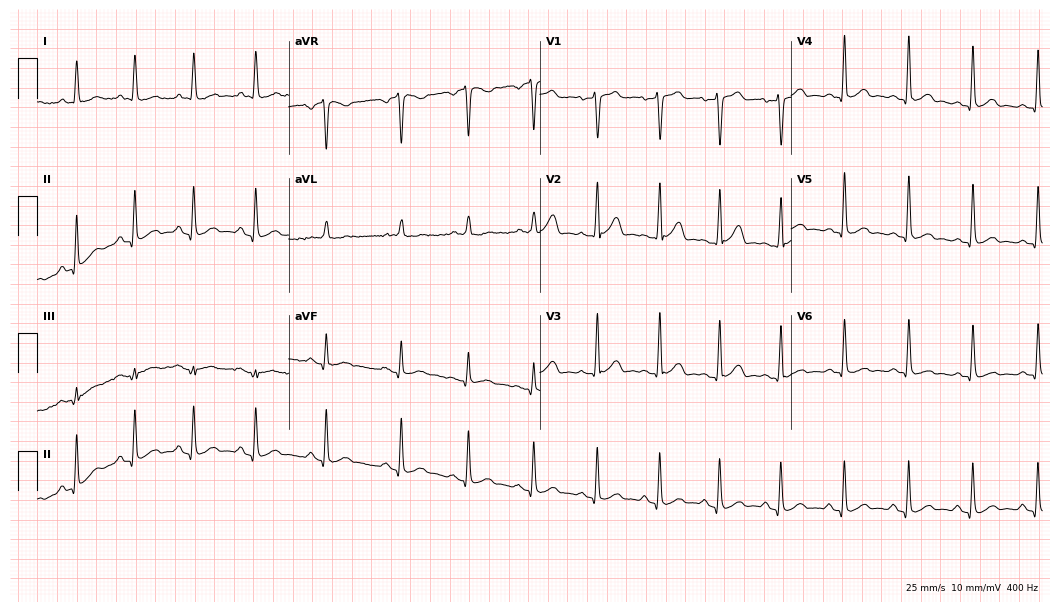
Resting 12-lead electrocardiogram. Patient: a man, 26 years old. None of these six findings is recorded: first-degree AV block, right bundle branch block, left bundle branch block, sinus bradycardia, atrial fibrillation, sinus tachycardia.